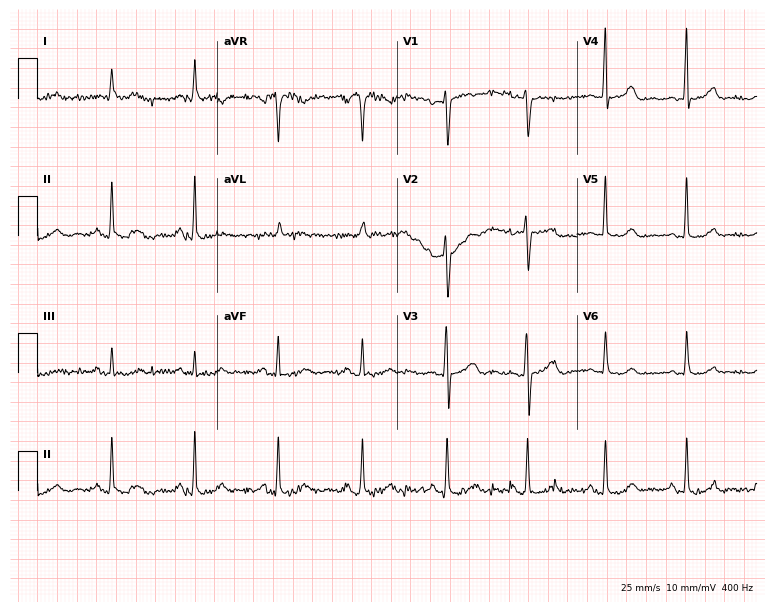
12-lead ECG from a 63-year-old woman. Screened for six findings — first-degree AV block, right bundle branch block, left bundle branch block, sinus bradycardia, atrial fibrillation, sinus tachycardia — none is recorded. Other findings, if any, are not listed.